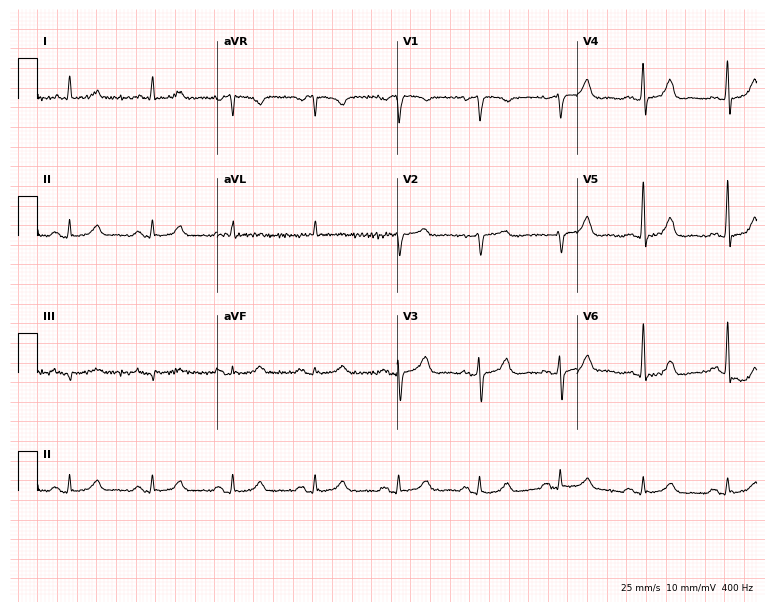
12-lead ECG (7.3-second recording at 400 Hz) from a woman, 68 years old. Labelled as a normal ECG.